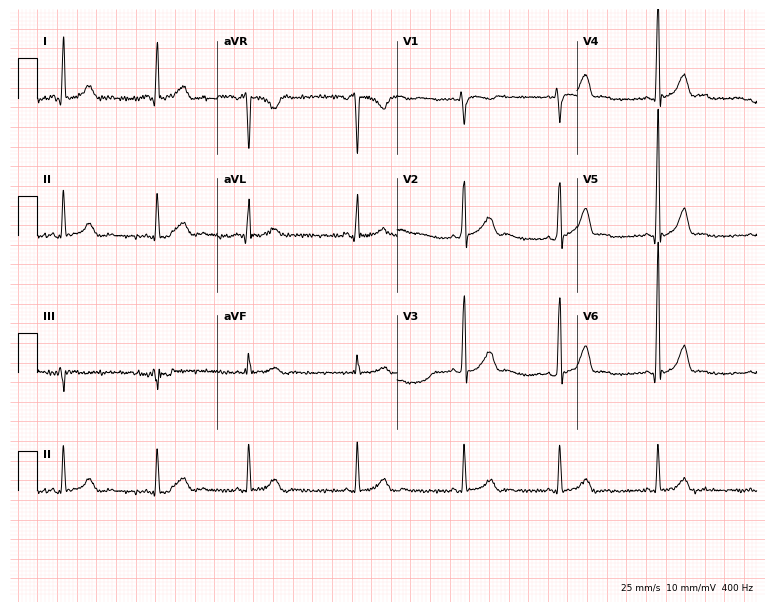
ECG — a man, 25 years old. Screened for six findings — first-degree AV block, right bundle branch block, left bundle branch block, sinus bradycardia, atrial fibrillation, sinus tachycardia — none is recorded. Only these six findings were labelled.